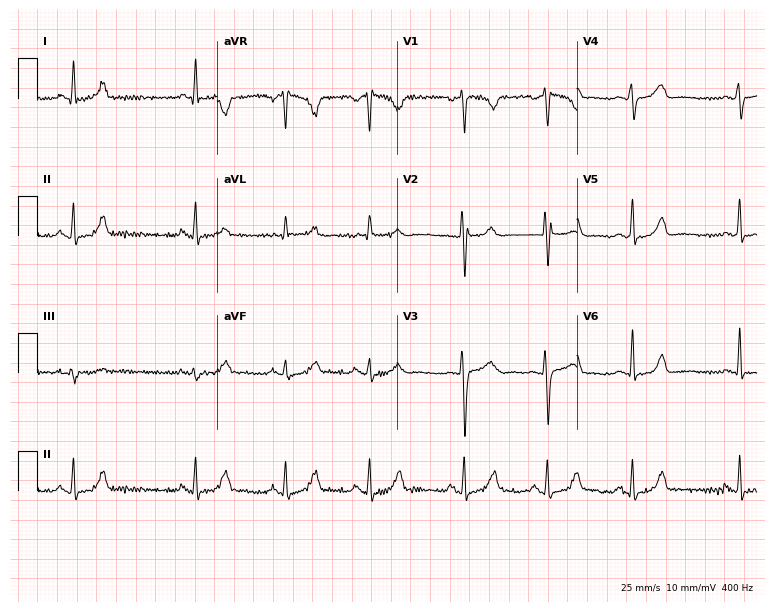
Electrocardiogram, a female, 29 years old. Of the six screened findings (first-degree AV block, right bundle branch block, left bundle branch block, sinus bradycardia, atrial fibrillation, sinus tachycardia), none is recorded. Findings outside these six are not listed.